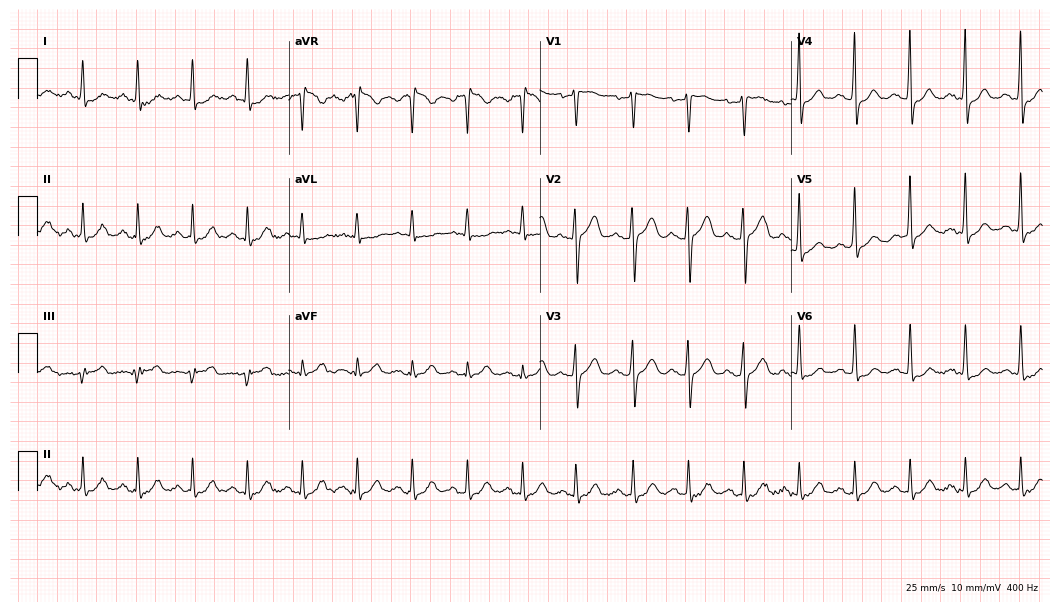
Electrocardiogram (10.2-second recording at 400 Hz), a man, 61 years old. Interpretation includes sinus tachycardia (a sinus rate of 100 beats per minute or more).